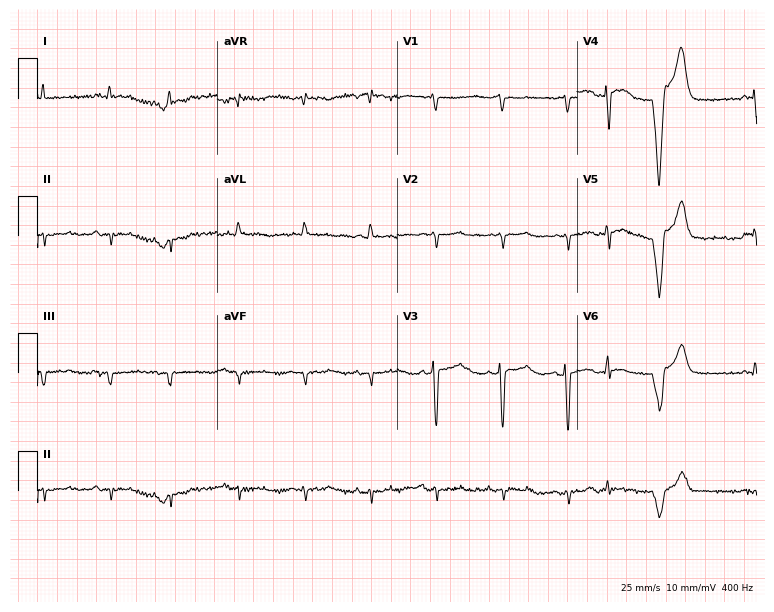
12-lead ECG from an 85-year-old male. Screened for six findings — first-degree AV block, right bundle branch block (RBBB), left bundle branch block (LBBB), sinus bradycardia, atrial fibrillation (AF), sinus tachycardia — none is recorded. Findings outside these six are not listed.